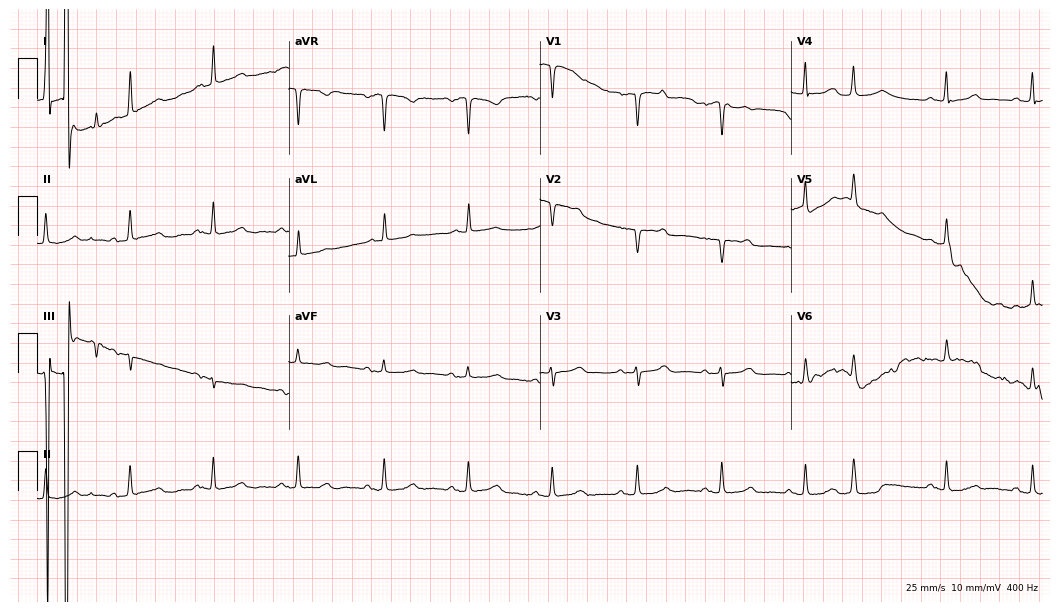
Standard 12-lead ECG recorded from a female patient, 79 years old. None of these six findings is recorded: first-degree AV block, right bundle branch block, left bundle branch block, sinus bradycardia, atrial fibrillation, sinus tachycardia. Only these six findings were labelled.